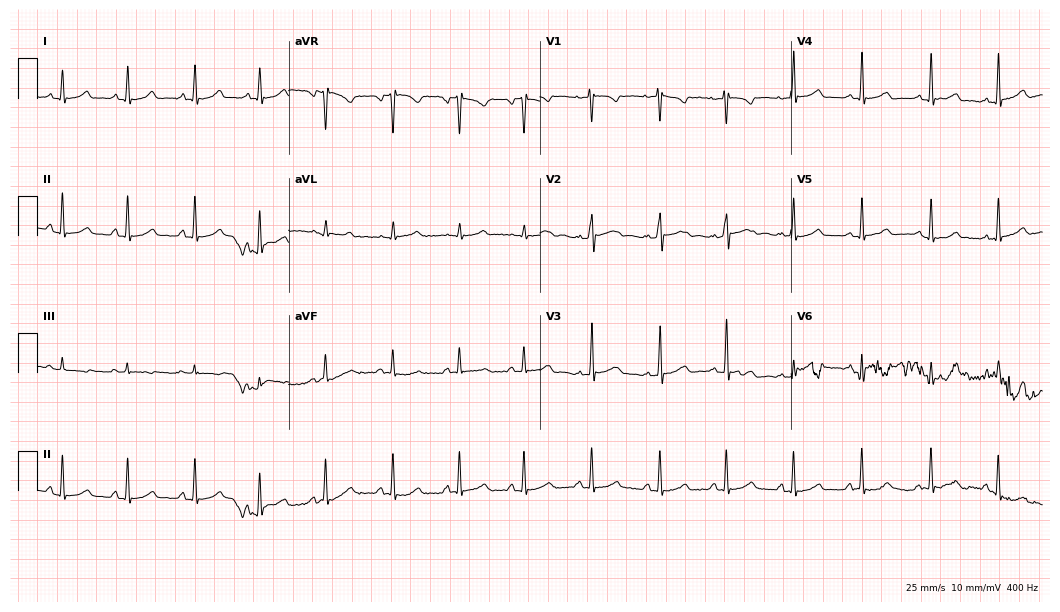
12-lead ECG from an 18-year-old woman. Recorded interpretation: within normal limits.